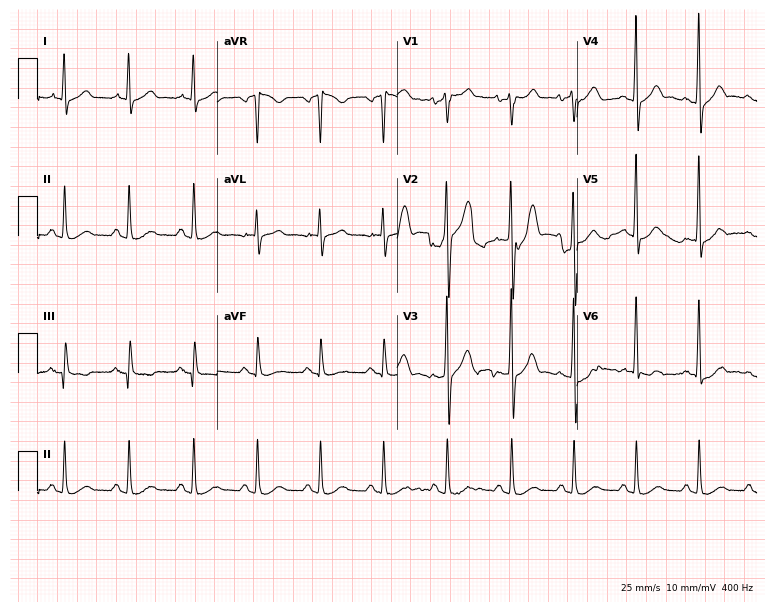
12-lead ECG from a male patient, 55 years old (7.3-second recording at 400 Hz). Recorded interpretation: within normal limits.